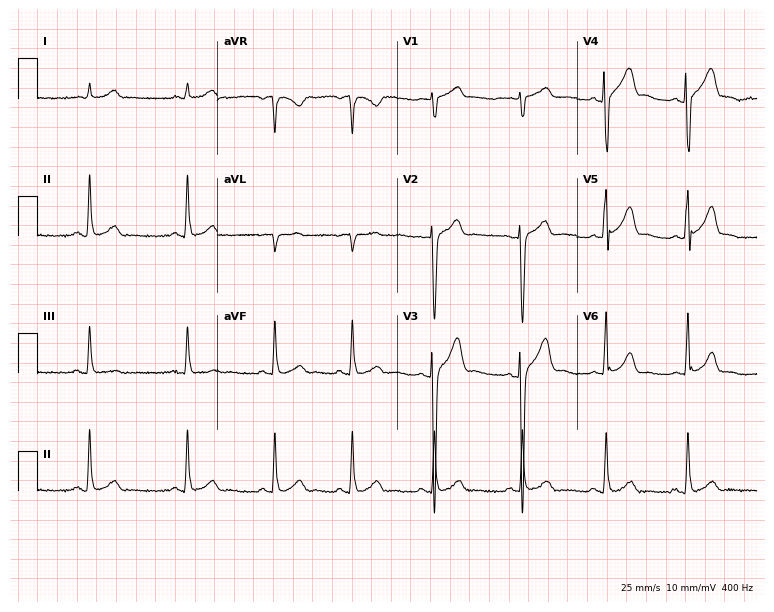
Electrocardiogram (7.3-second recording at 400 Hz), a male, 26 years old. Overall reading on record: normal ECG.